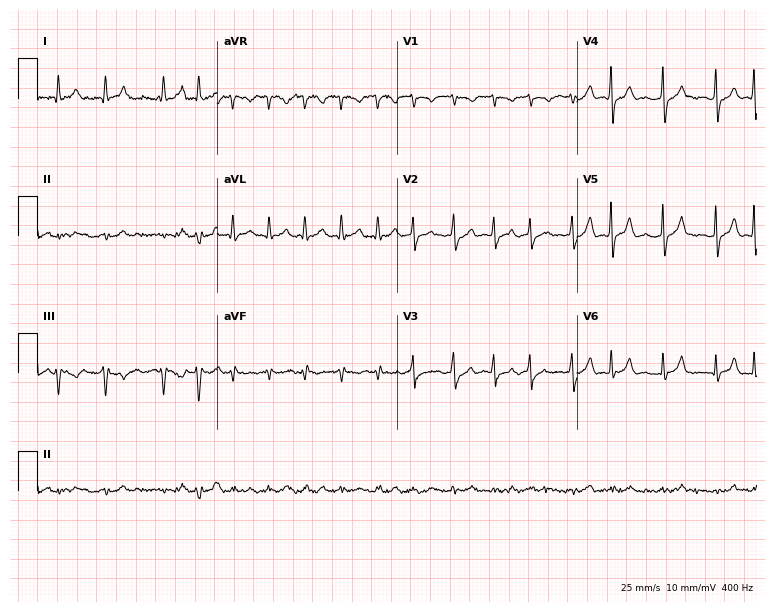
Electrocardiogram, a male, 80 years old. Of the six screened findings (first-degree AV block, right bundle branch block, left bundle branch block, sinus bradycardia, atrial fibrillation, sinus tachycardia), none is recorded. Only these six findings were labelled.